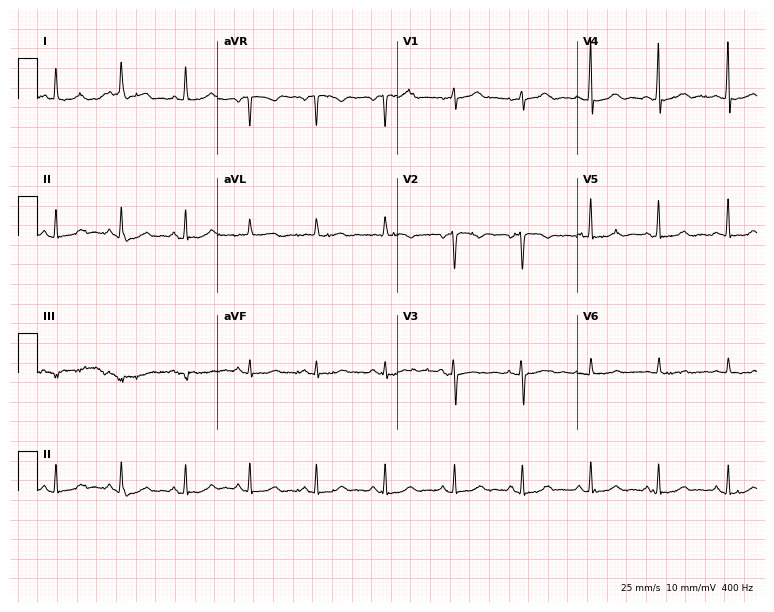
Standard 12-lead ECG recorded from a 48-year-old female (7.3-second recording at 400 Hz). Read as a normal ECG.